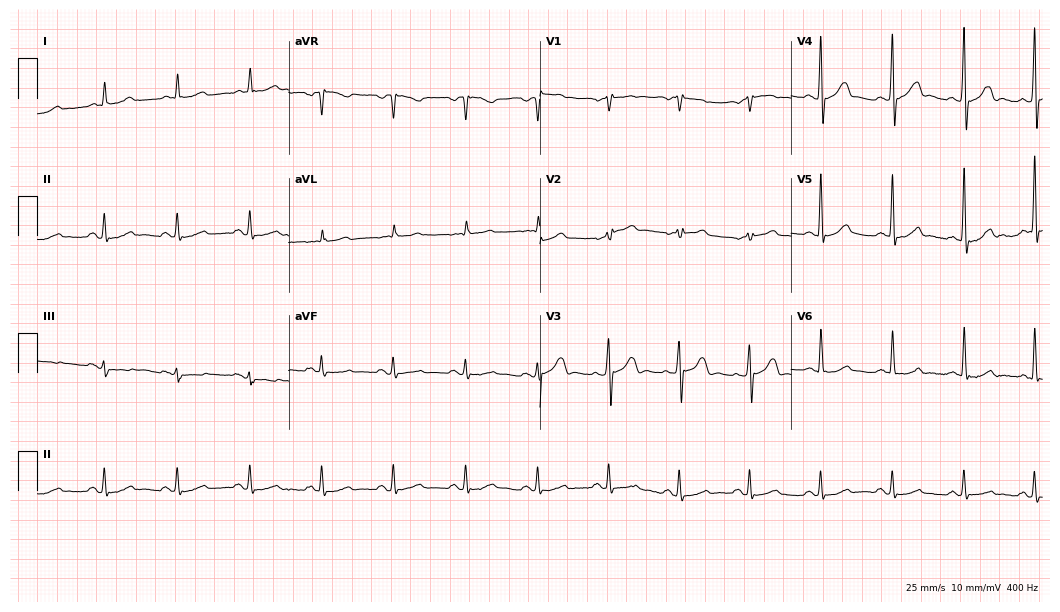
12-lead ECG from a male, 58 years old. Recorded interpretation: within normal limits.